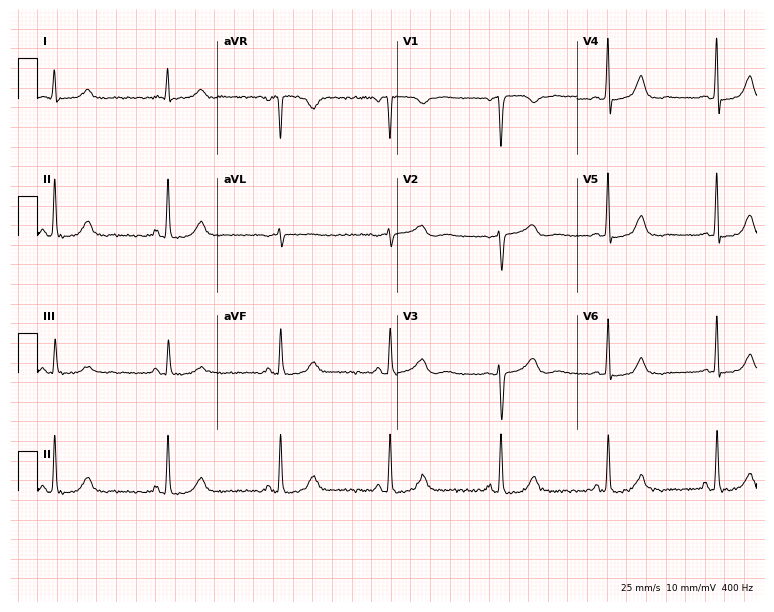
Standard 12-lead ECG recorded from a 41-year-old female. None of these six findings is recorded: first-degree AV block, right bundle branch block (RBBB), left bundle branch block (LBBB), sinus bradycardia, atrial fibrillation (AF), sinus tachycardia. Findings outside these six are not listed.